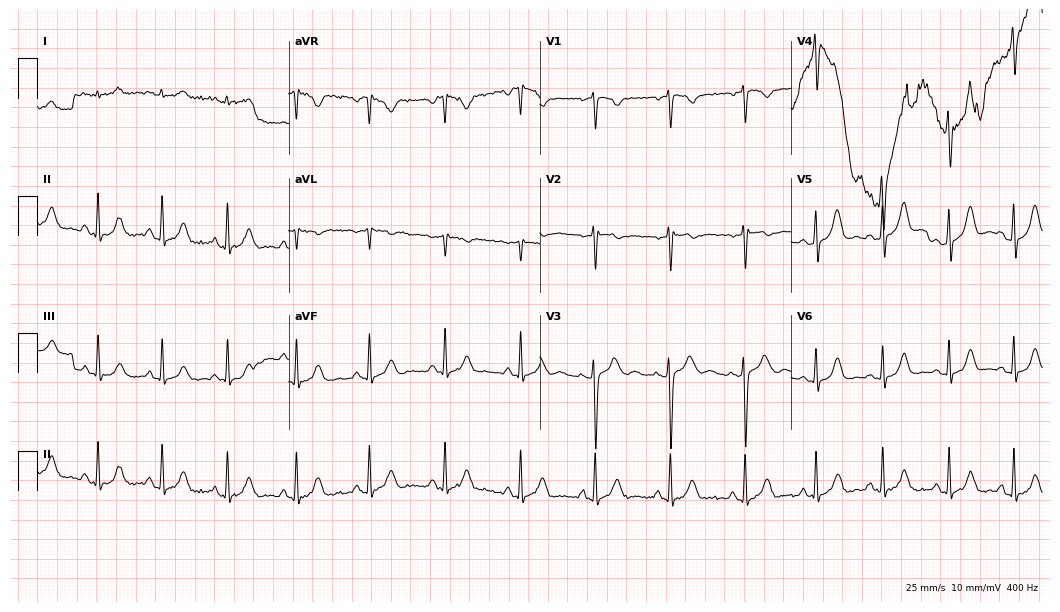
12-lead ECG from a female patient, 26 years old. Recorded interpretation: within normal limits.